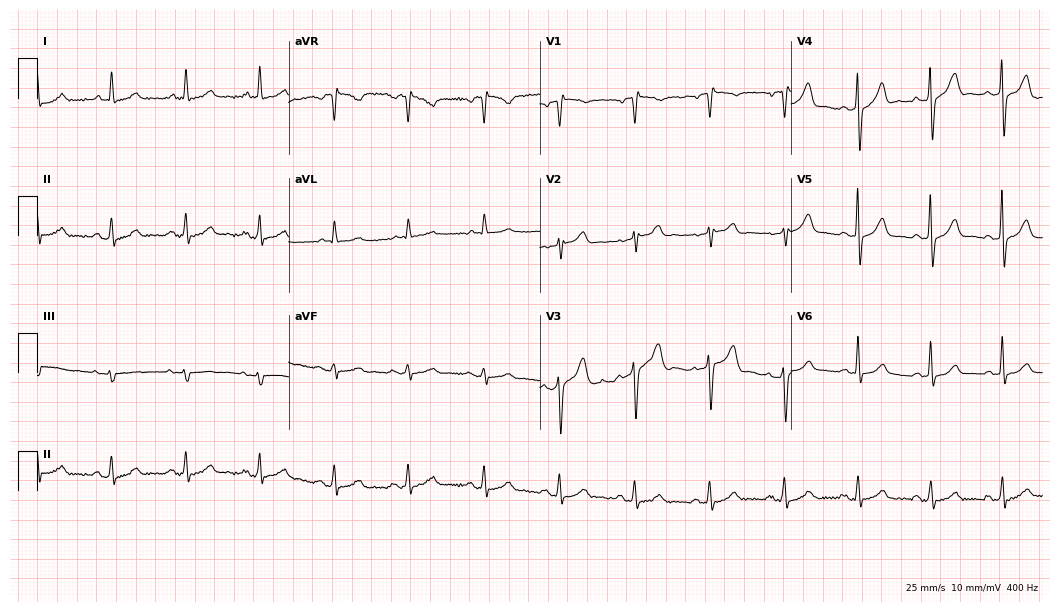
Standard 12-lead ECG recorded from a male patient, 70 years old. Read as a normal ECG.